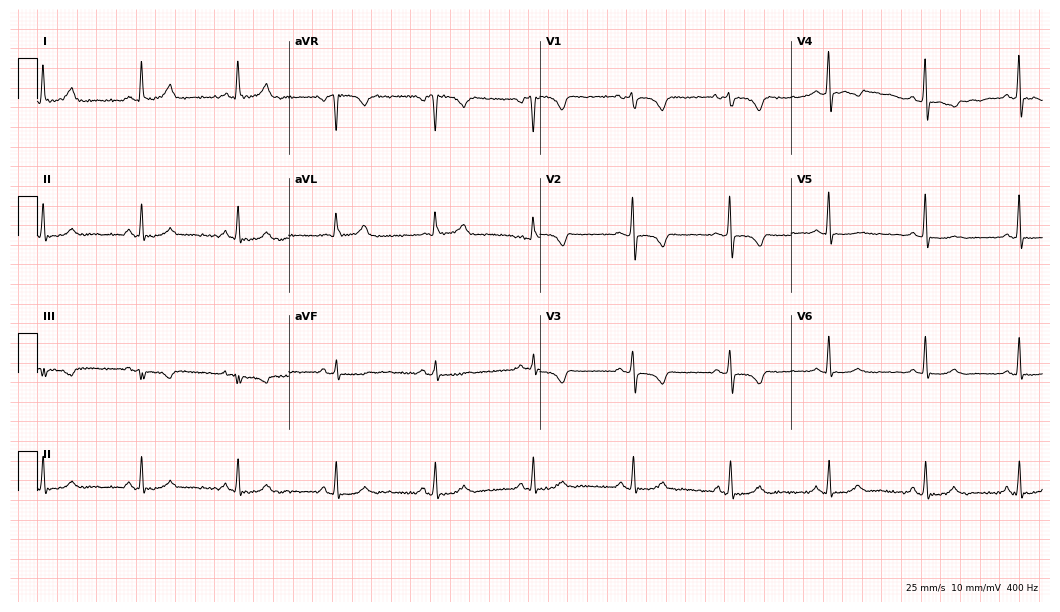
12-lead ECG from a 48-year-old female. Screened for six findings — first-degree AV block, right bundle branch block (RBBB), left bundle branch block (LBBB), sinus bradycardia, atrial fibrillation (AF), sinus tachycardia — none is recorded.